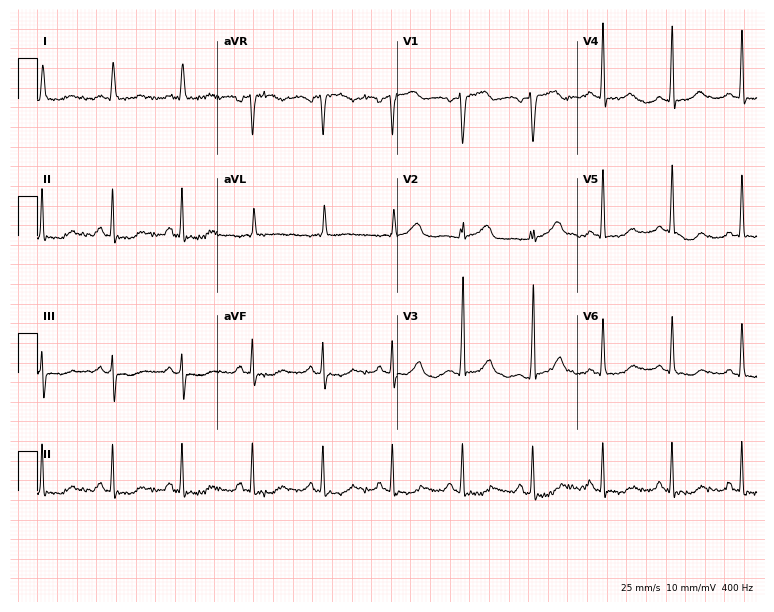
Resting 12-lead electrocardiogram (7.3-second recording at 400 Hz). Patient: a 79-year-old male. None of these six findings is recorded: first-degree AV block, right bundle branch block (RBBB), left bundle branch block (LBBB), sinus bradycardia, atrial fibrillation (AF), sinus tachycardia. Only these six findings were labelled.